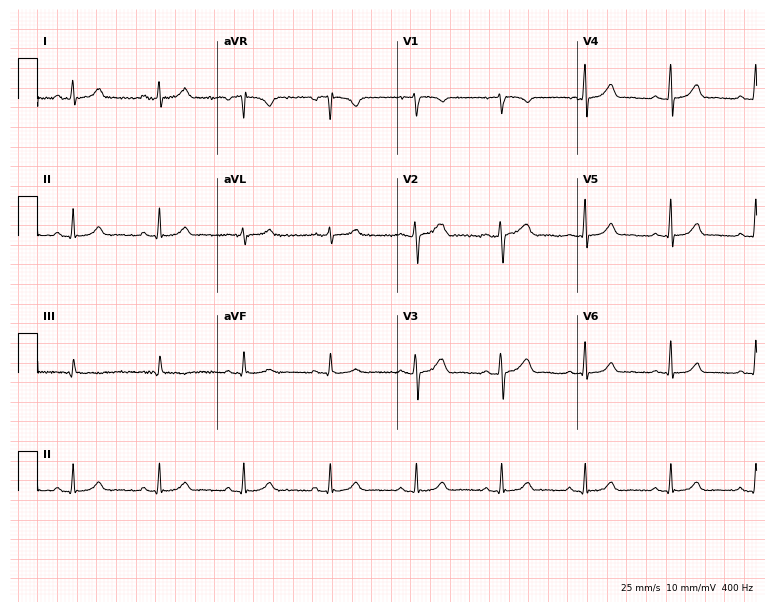
12-lead ECG from a female, 37 years old. Screened for six findings — first-degree AV block, right bundle branch block, left bundle branch block, sinus bradycardia, atrial fibrillation, sinus tachycardia — none is recorded. Other findings, if any, are not listed.